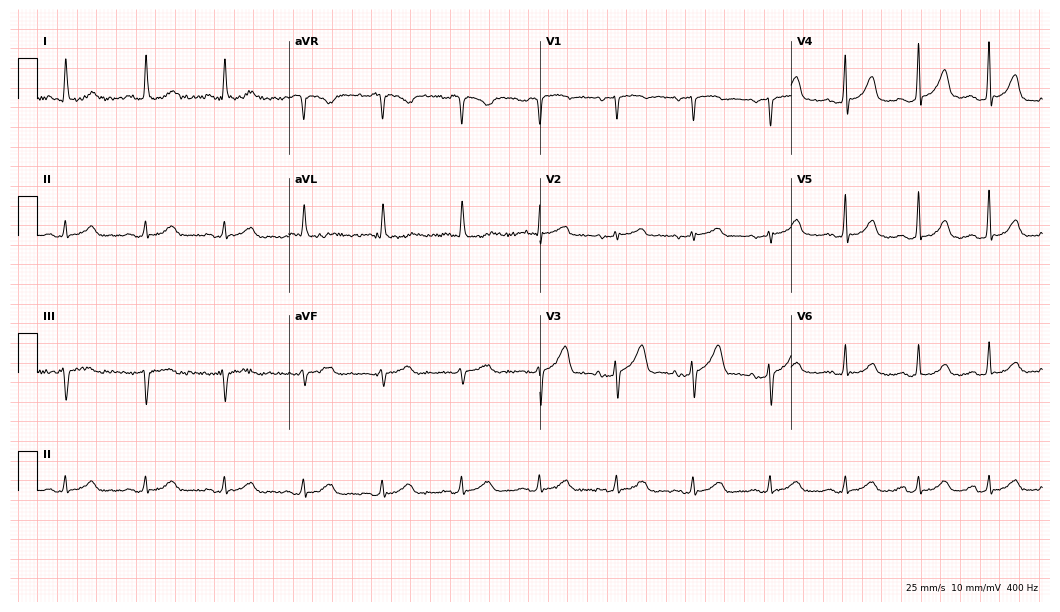
ECG — a woman, 58 years old. Screened for six findings — first-degree AV block, right bundle branch block, left bundle branch block, sinus bradycardia, atrial fibrillation, sinus tachycardia — none is recorded. Findings outside these six are not listed.